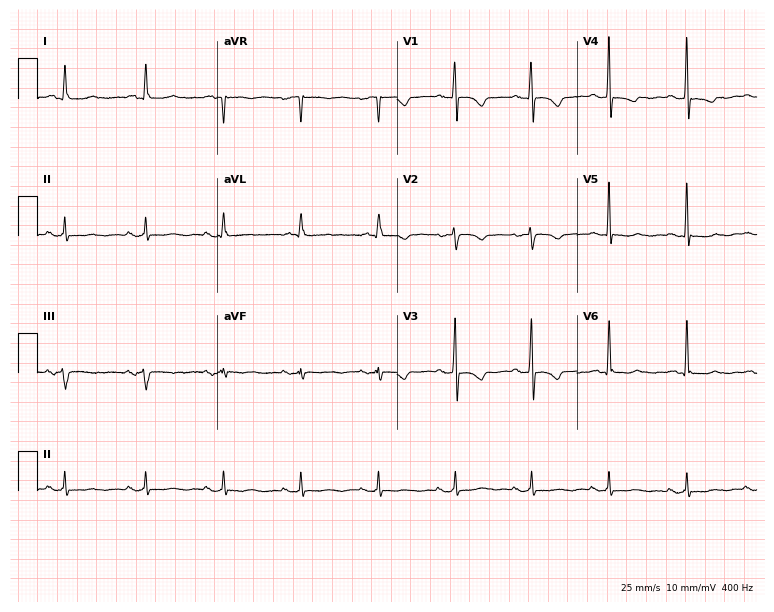
Resting 12-lead electrocardiogram (7.3-second recording at 400 Hz). Patient: a 74-year-old female. None of these six findings is recorded: first-degree AV block, right bundle branch block (RBBB), left bundle branch block (LBBB), sinus bradycardia, atrial fibrillation (AF), sinus tachycardia.